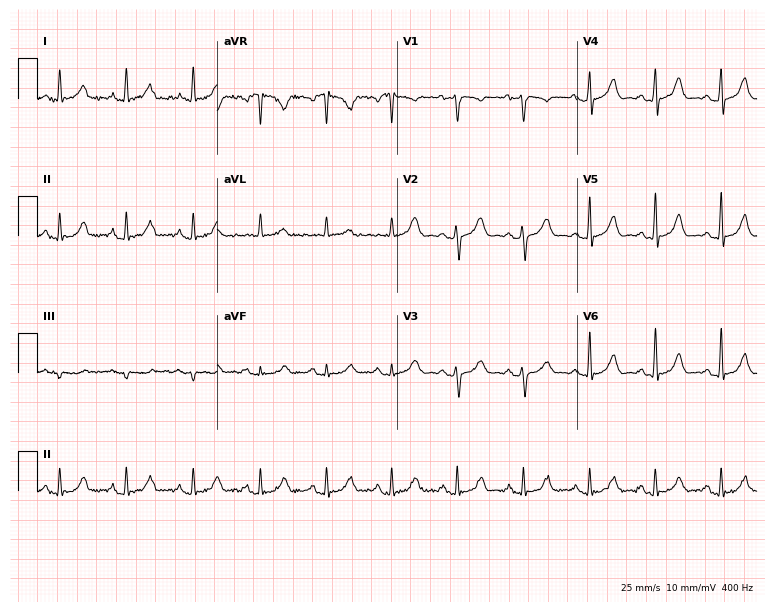
ECG — a female, 50 years old. Screened for six findings — first-degree AV block, right bundle branch block, left bundle branch block, sinus bradycardia, atrial fibrillation, sinus tachycardia — none is recorded.